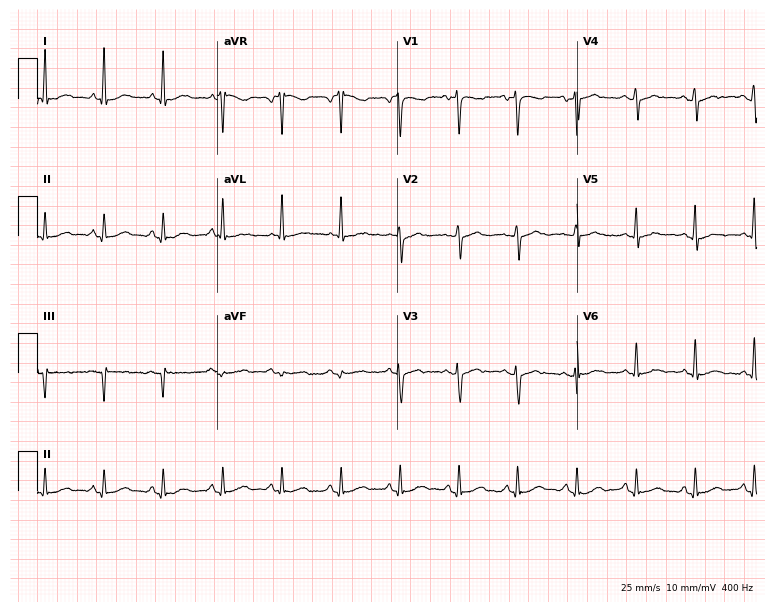
Resting 12-lead electrocardiogram (7.3-second recording at 400 Hz). Patient: a 44-year-old female. None of these six findings is recorded: first-degree AV block, right bundle branch block, left bundle branch block, sinus bradycardia, atrial fibrillation, sinus tachycardia. Findings outside these six are not listed.